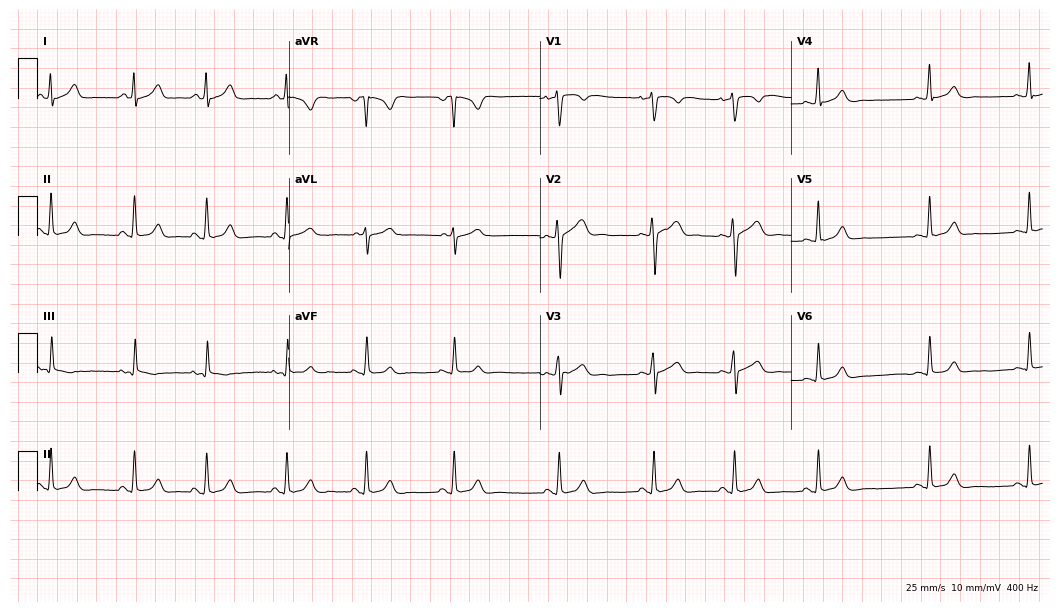
Electrocardiogram (10.2-second recording at 400 Hz), a 24-year-old woman. Of the six screened findings (first-degree AV block, right bundle branch block, left bundle branch block, sinus bradycardia, atrial fibrillation, sinus tachycardia), none is recorded. Other findings, if any, are not listed.